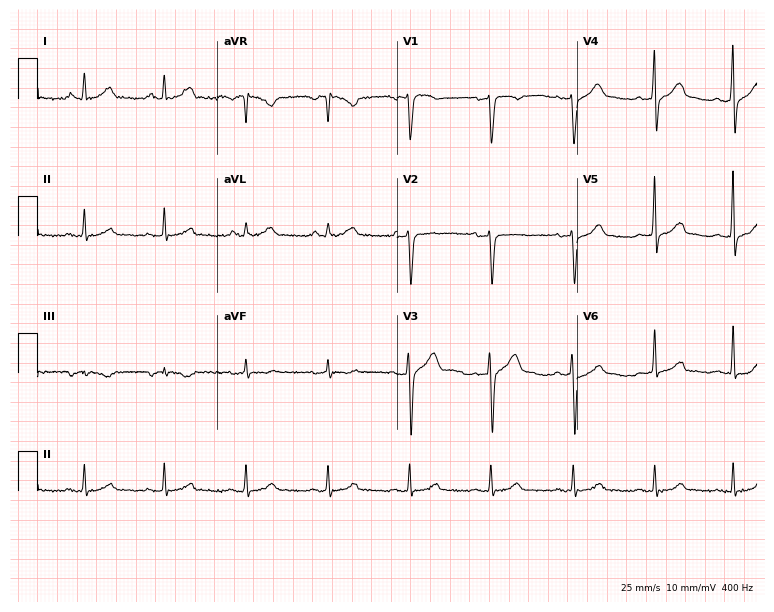
ECG (7.3-second recording at 400 Hz) — a male, 67 years old. Labelled as a normal ECG.